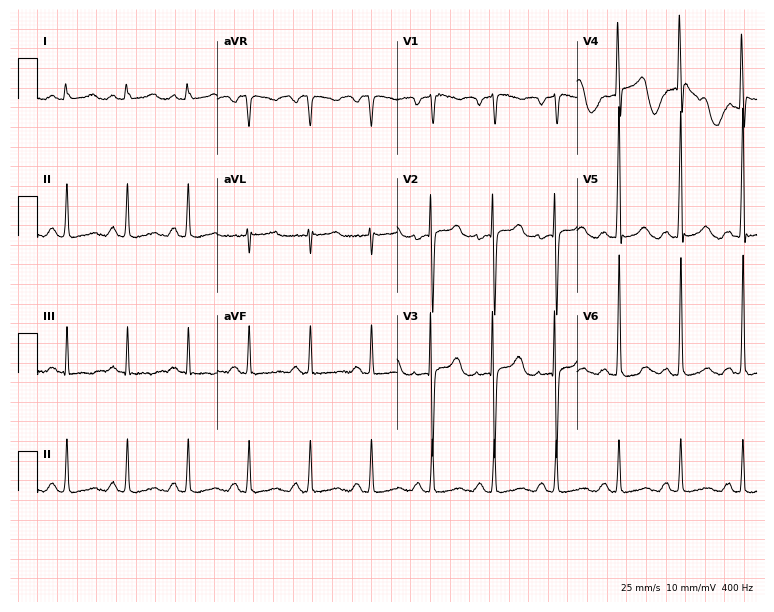
ECG (7.3-second recording at 400 Hz) — a female patient, 47 years old. Screened for six findings — first-degree AV block, right bundle branch block, left bundle branch block, sinus bradycardia, atrial fibrillation, sinus tachycardia — none is recorded.